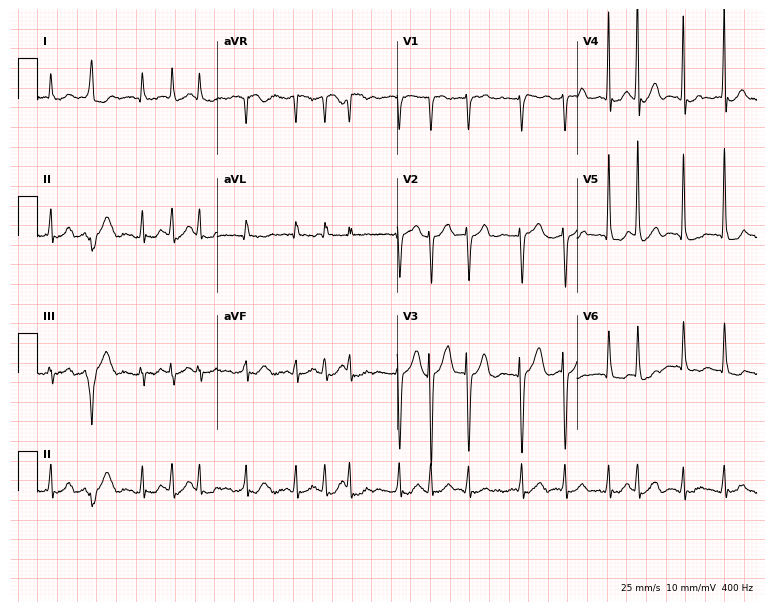
Resting 12-lead electrocardiogram. Patient: a female, 80 years old. The tracing shows atrial fibrillation.